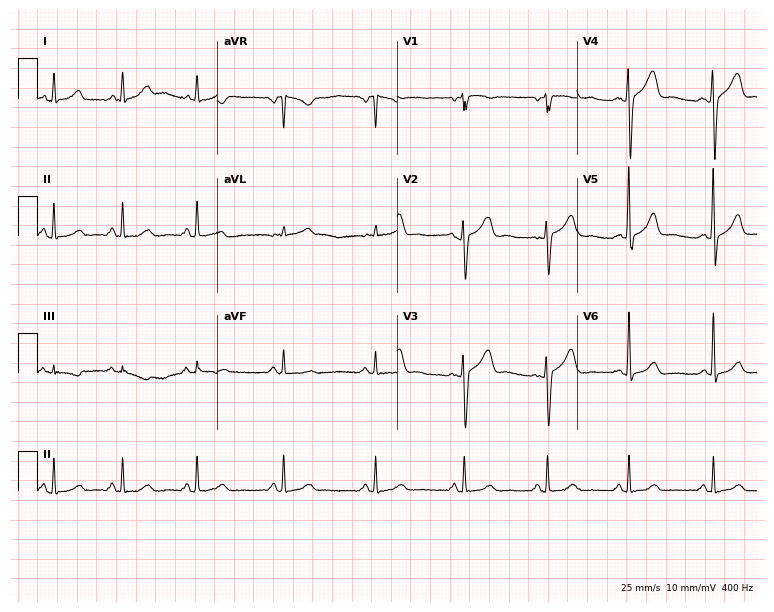
12-lead ECG from a female, 43 years old. Labelled as a normal ECG.